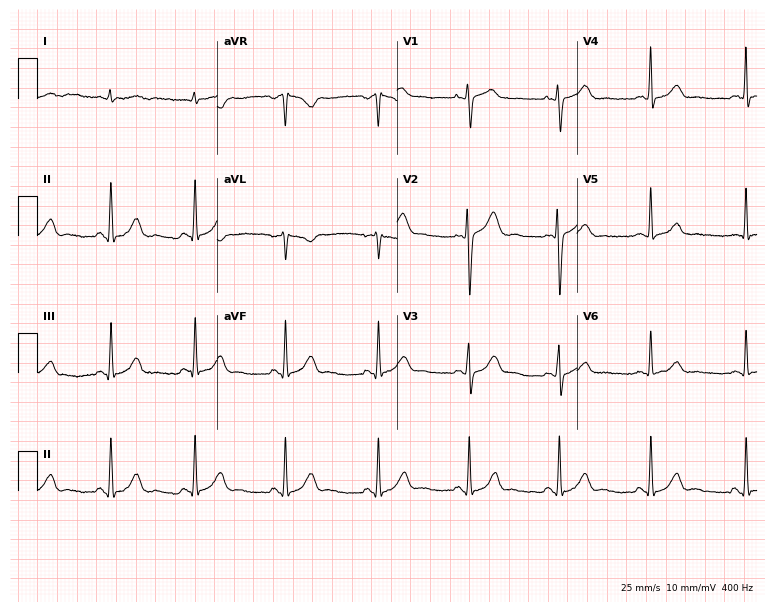
12-lead ECG from a woman, 47 years old. No first-degree AV block, right bundle branch block (RBBB), left bundle branch block (LBBB), sinus bradycardia, atrial fibrillation (AF) or sinus tachycardia recorded for this tracing. Findings outside these six are not listed.